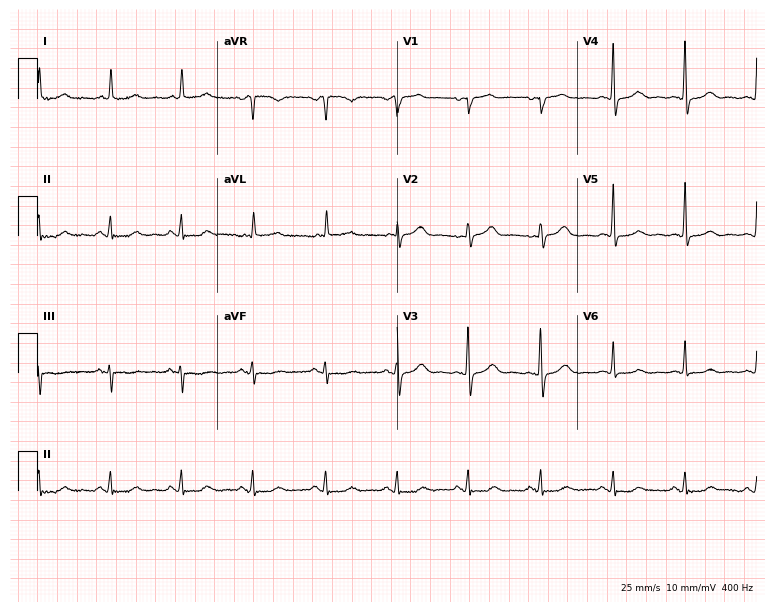
12-lead ECG from a 66-year-old woman. No first-degree AV block, right bundle branch block (RBBB), left bundle branch block (LBBB), sinus bradycardia, atrial fibrillation (AF) or sinus tachycardia recorded for this tracing.